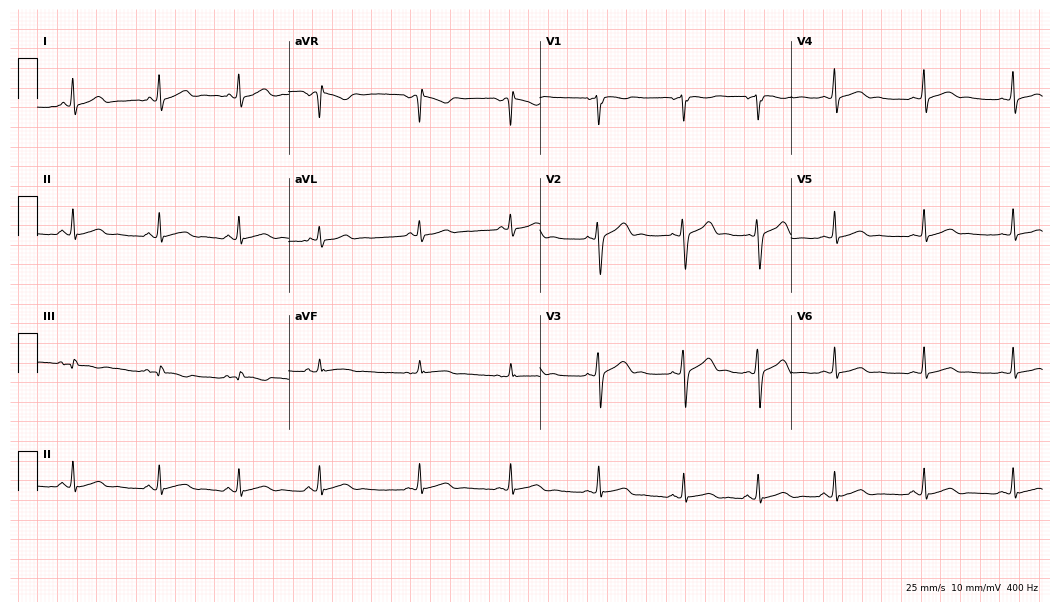
Resting 12-lead electrocardiogram. Patient: a 26-year-old female. Read as a normal ECG.